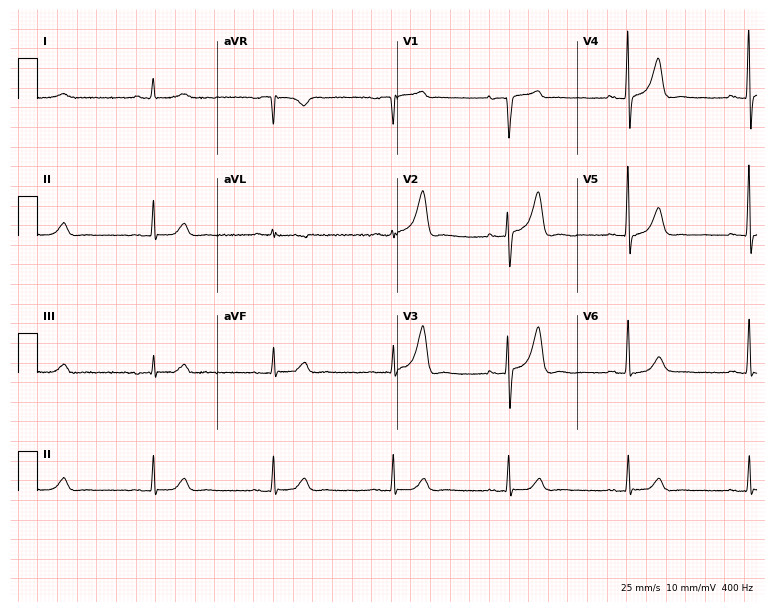
Standard 12-lead ECG recorded from a male patient, 76 years old (7.3-second recording at 400 Hz). None of these six findings is recorded: first-degree AV block, right bundle branch block (RBBB), left bundle branch block (LBBB), sinus bradycardia, atrial fibrillation (AF), sinus tachycardia. Findings outside these six are not listed.